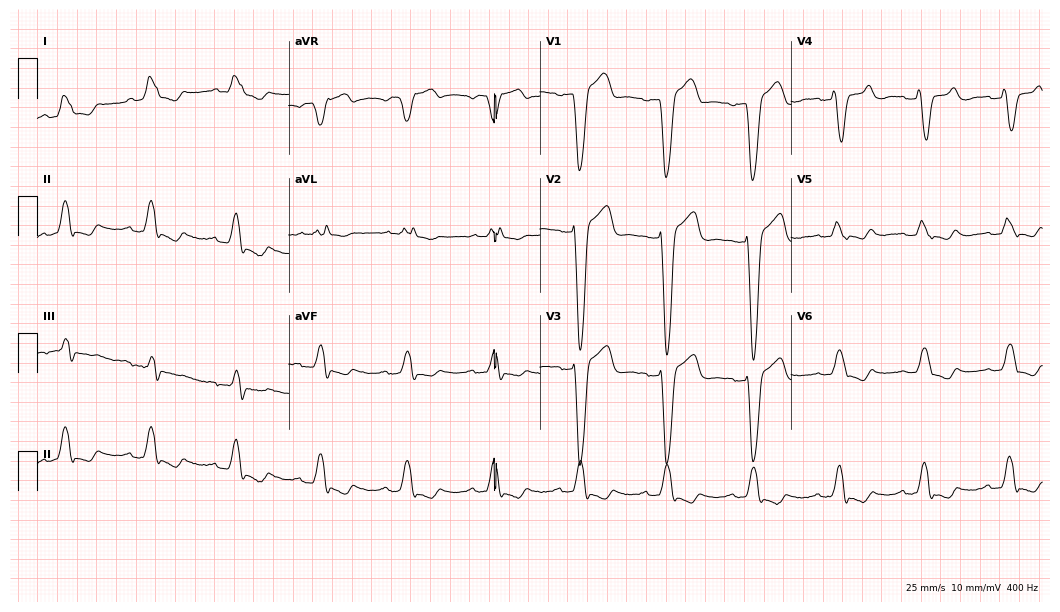
12-lead ECG from a male, 78 years old. Findings include first-degree AV block, left bundle branch block (LBBB).